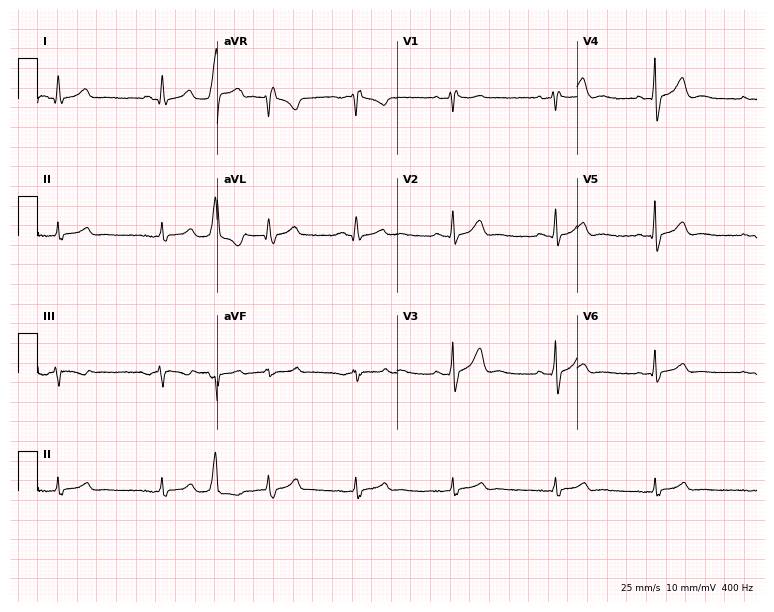
Electrocardiogram, a 71-year-old man. Of the six screened findings (first-degree AV block, right bundle branch block, left bundle branch block, sinus bradycardia, atrial fibrillation, sinus tachycardia), none is recorded.